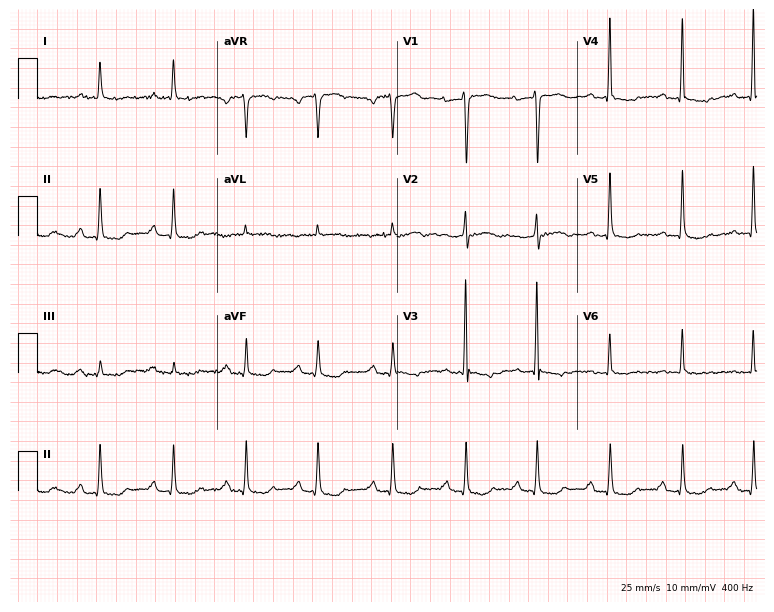
Resting 12-lead electrocardiogram (7.3-second recording at 400 Hz). Patient: a 76-year-old male. None of these six findings is recorded: first-degree AV block, right bundle branch block, left bundle branch block, sinus bradycardia, atrial fibrillation, sinus tachycardia.